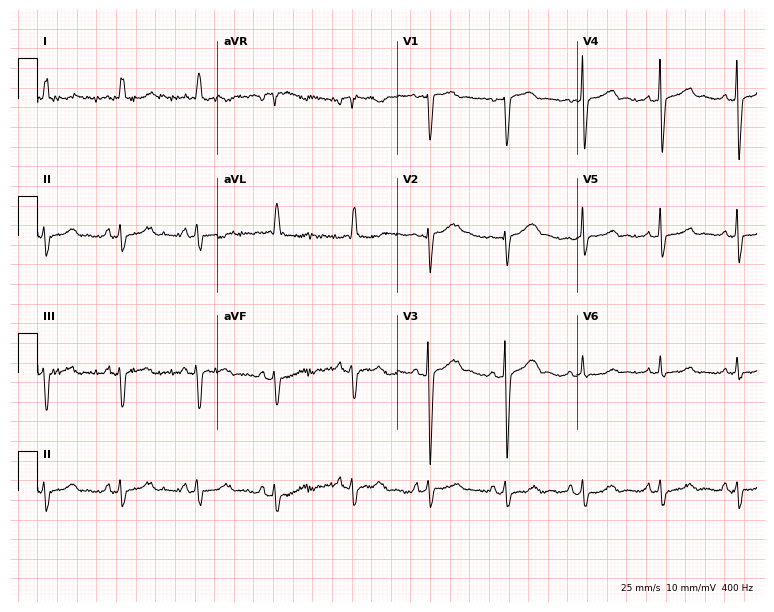
ECG — a 76-year-old female patient. Labelled as a normal ECG.